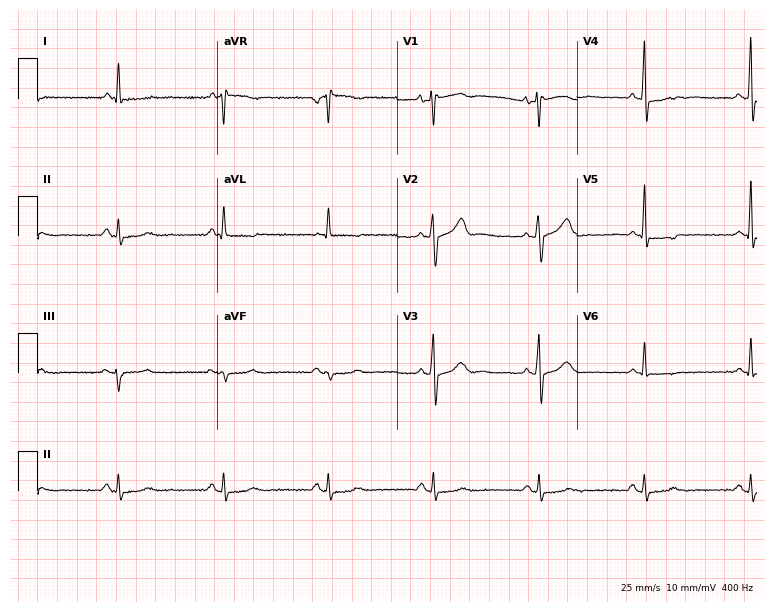
12-lead ECG from a 64-year-old male (7.3-second recording at 400 Hz). No first-degree AV block, right bundle branch block (RBBB), left bundle branch block (LBBB), sinus bradycardia, atrial fibrillation (AF) or sinus tachycardia recorded for this tracing.